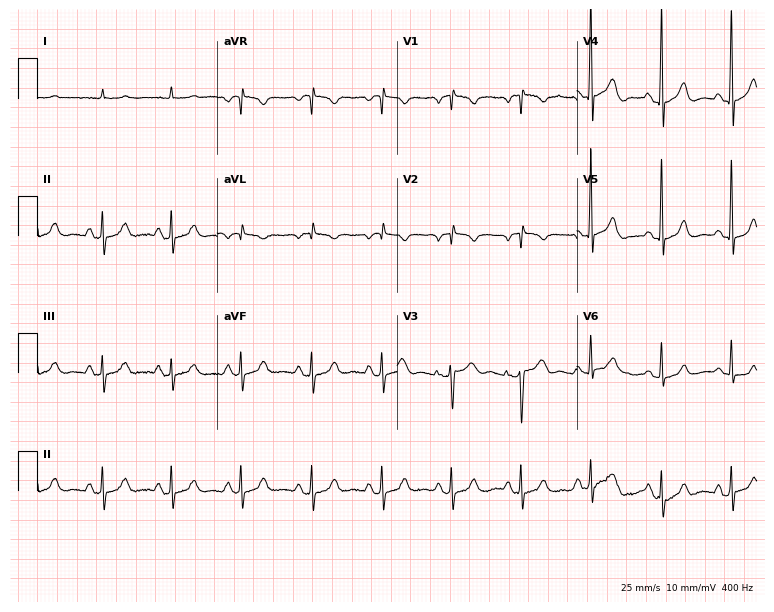
Electrocardiogram, an 80-year-old man. Of the six screened findings (first-degree AV block, right bundle branch block, left bundle branch block, sinus bradycardia, atrial fibrillation, sinus tachycardia), none is recorded. Findings outside these six are not listed.